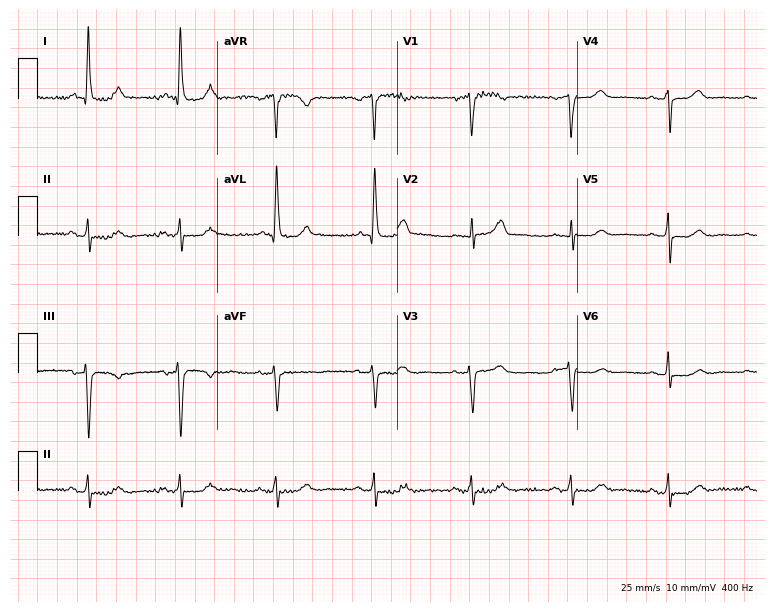
Electrocardiogram (7.3-second recording at 400 Hz), a 71-year-old female patient. Of the six screened findings (first-degree AV block, right bundle branch block (RBBB), left bundle branch block (LBBB), sinus bradycardia, atrial fibrillation (AF), sinus tachycardia), none is recorded. Only these six findings were labelled.